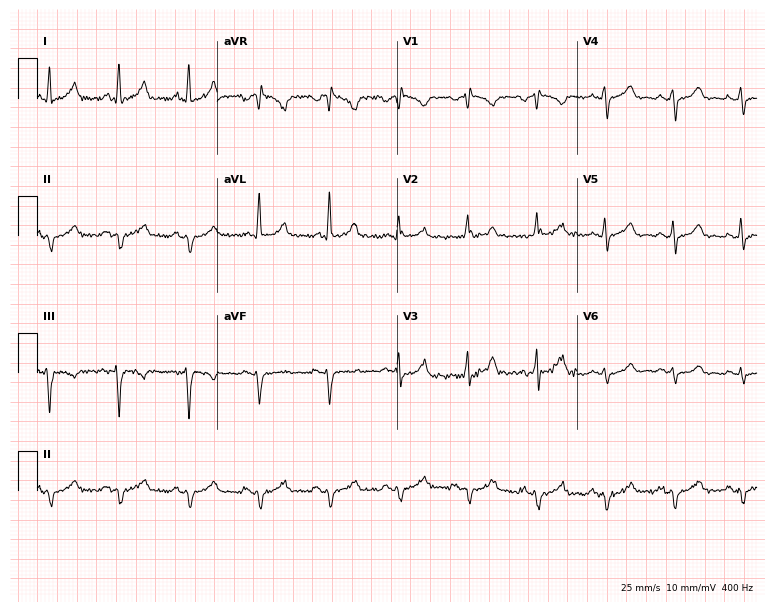
Resting 12-lead electrocardiogram (7.3-second recording at 400 Hz). Patient: a man, 59 years old. None of these six findings is recorded: first-degree AV block, right bundle branch block, left bundle branch block, sinus bradycardia, atrial fibrillation, sinus tachycardia.